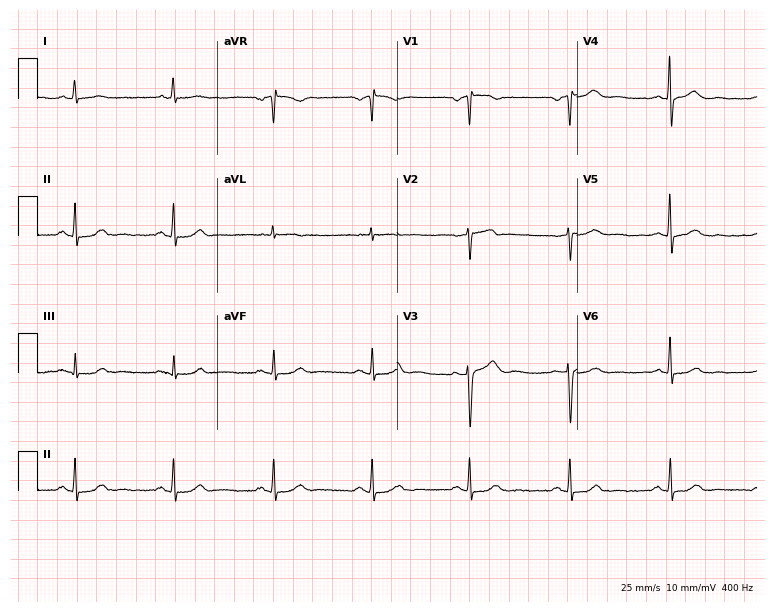
Standard 12-lead ECG recorded from a 62-year-old man. Read as a normal ECG.